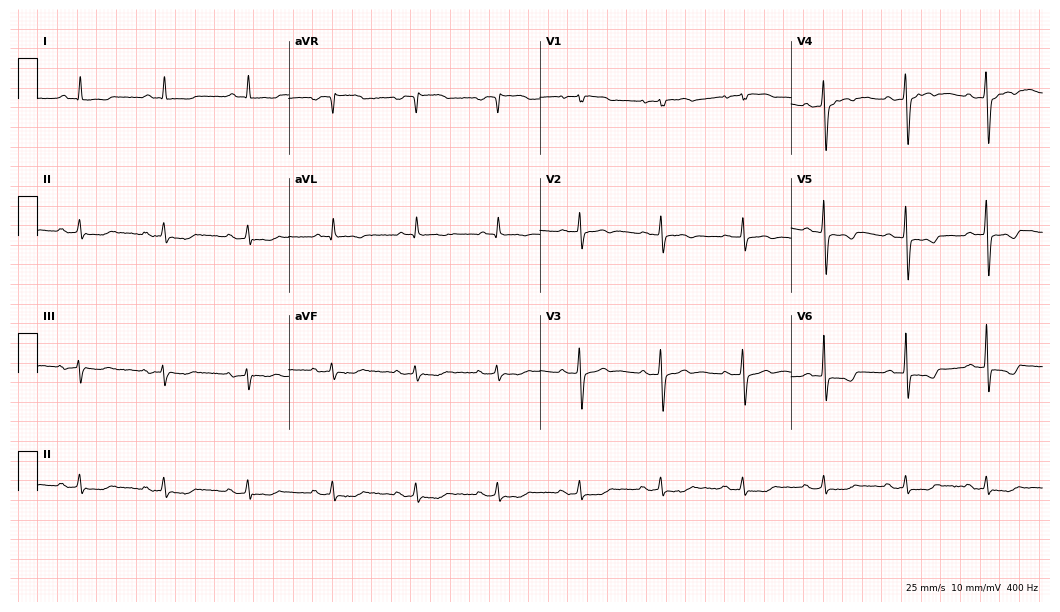
Electrocardiogram (10.2-second recording at 400 Hz), an 85-year-old female patient. Of the six screened findings (first-degree AV block, right bundle branch block, left bundle branch block, sinus bradycardia, atrial fibrillation, sinus tachycardia), none is recorded.